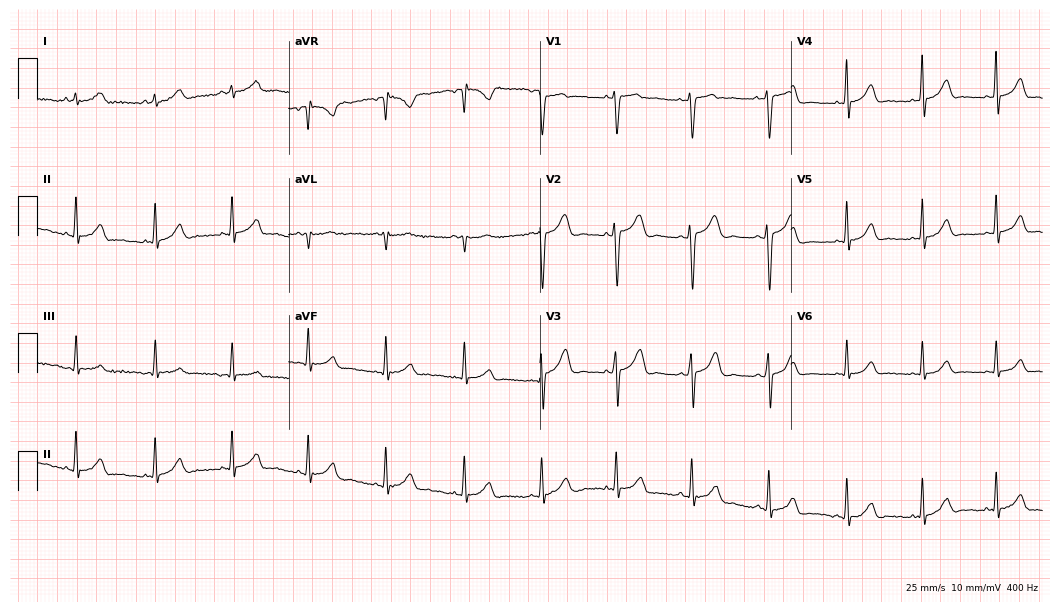
ECG (10.2-second recording at 400 Hz) — a female patient, 19 years old. Labelled as a normal ECG.